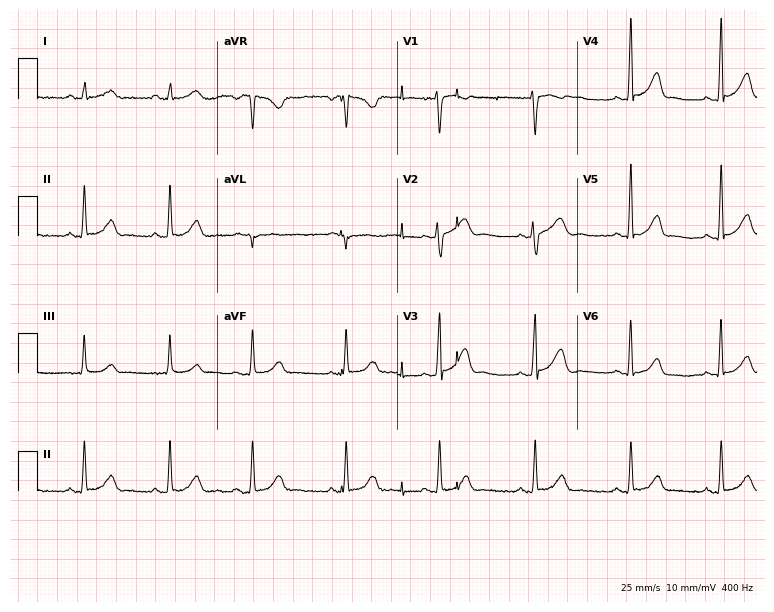
Standard 12-lead ECG recorded from a 21-year-old female patient (7.3-second recording at 400 Hz). Read as a normal ECG.